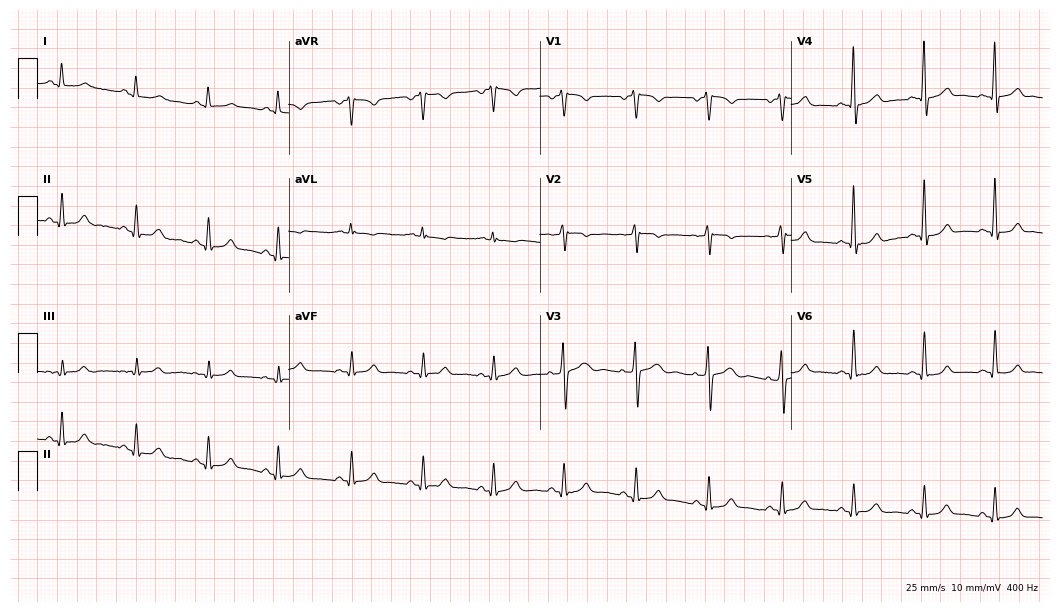
Electrocardiogram (10.2-second recording at 400 Hz), a 54-year-old male patient. Overall reading on record: normal ECG.